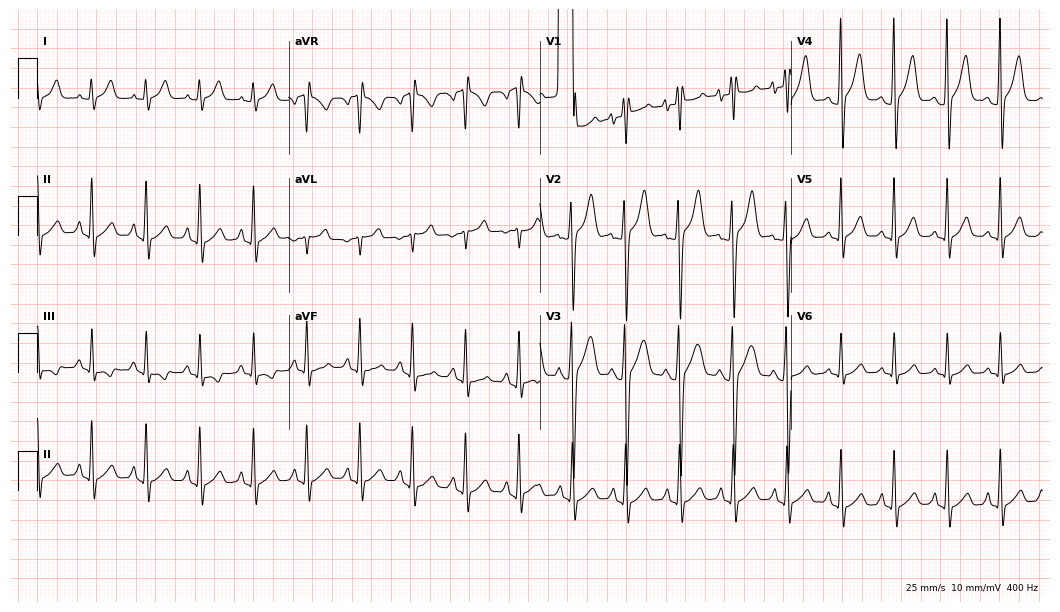
ECG (10.2-second recording at 400 Hz) — a man, 18 years old. Findings include sinus tachycardia (a sinus rate of 100 beats per minute or more).